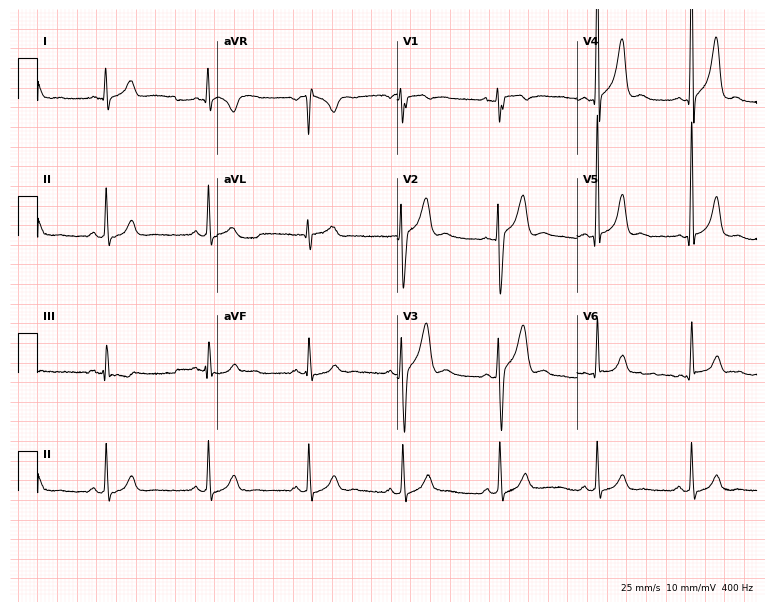
12-lead ECG from a 31-year-old male patient. Labelled as a normal ECG.